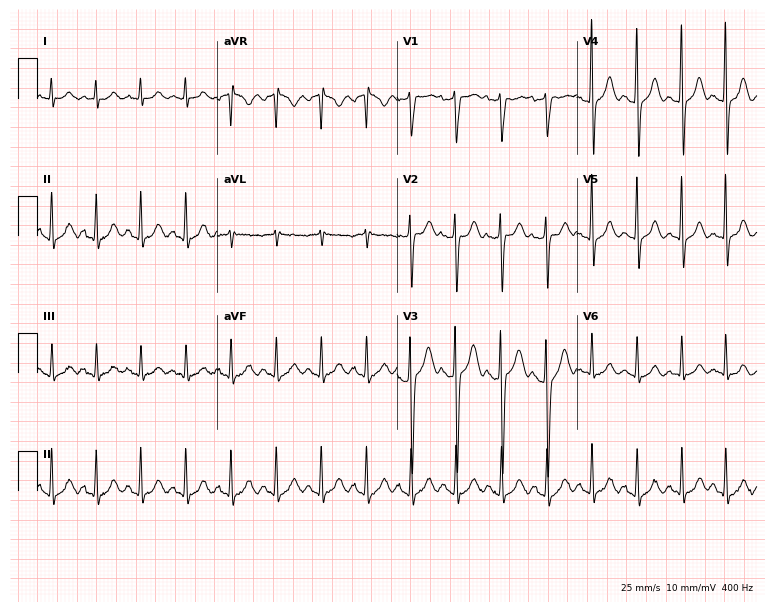
Electrocardiogram (7.3-second recording at 400 Hz), a 20-year-old woman. Interpretation includes sinus tachycardia (a sinus rate of 100 beats per minute or more).